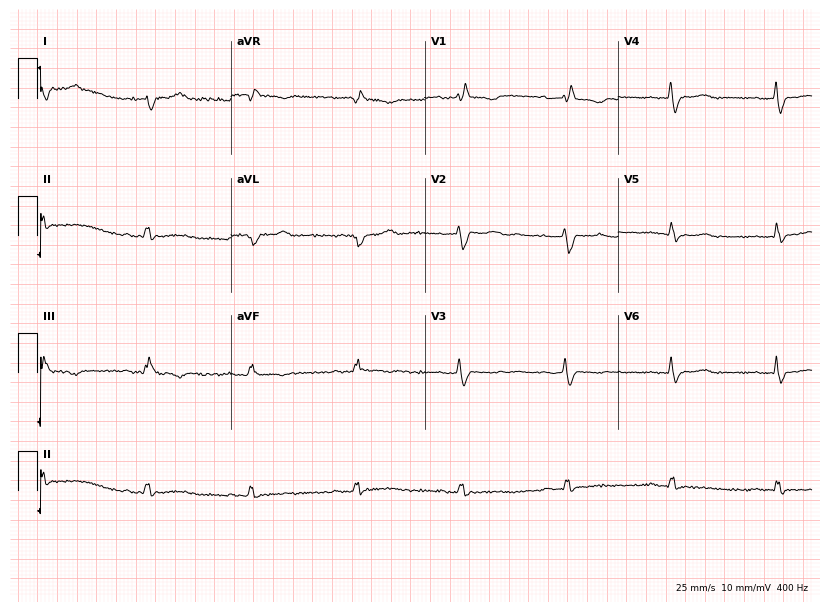
Resting 12-lead electrocardiogram. Patient: a 65-year-old female. The tracing shows right bundle branch block (RBBB).